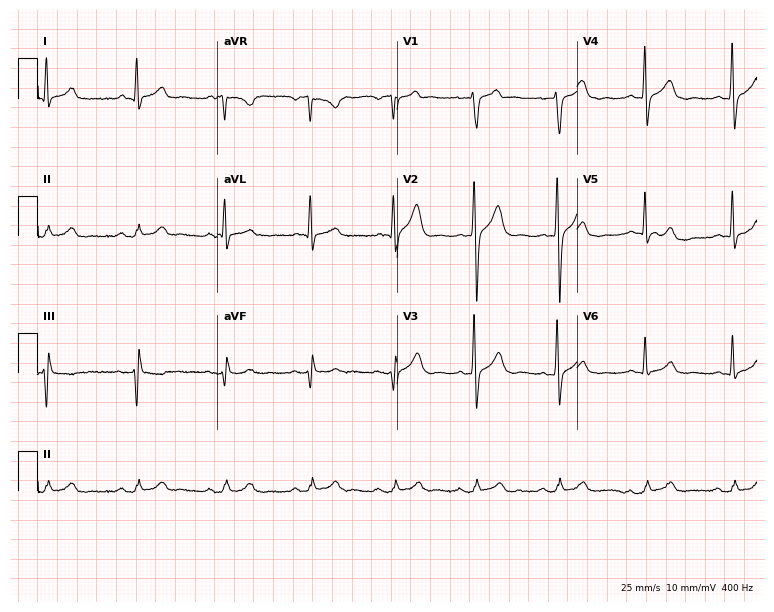
12-lead ECG (7.3-second recording at 400 Hz) from a 39-year-old male. Labelled as a normal ECG.